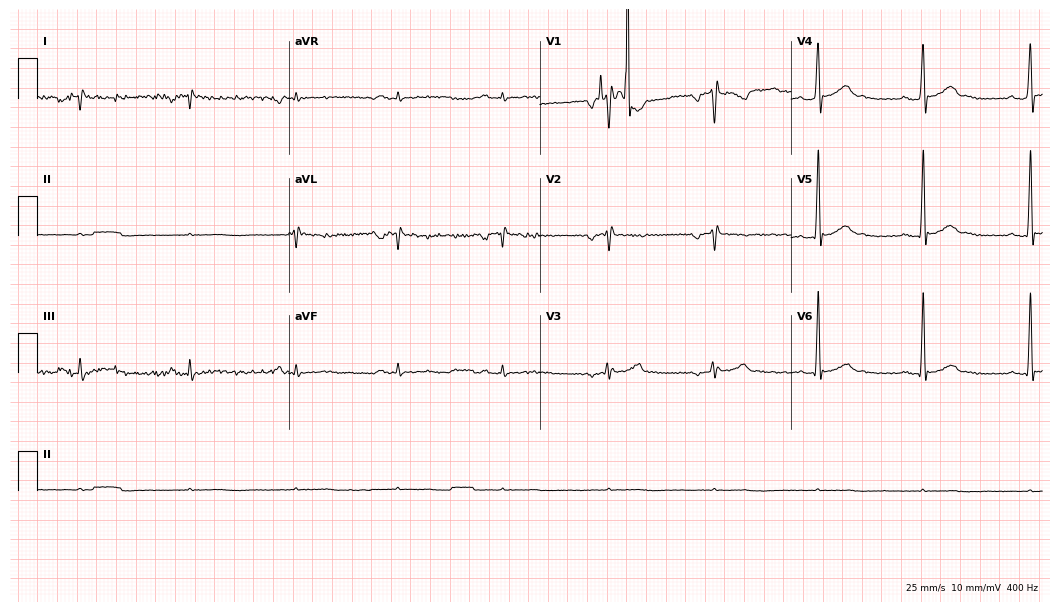
12-lead ECG from a 48-year-old male (10.2-second recording at 400 Hz). No first-degree AV block, right bundle branch block (RBBB), left bundle branch block (LBBB), sinus bradycardia, atrial fibrillation (AF) or sinus tachycardia recorded for this tracing. Findings outside these six are not listed.